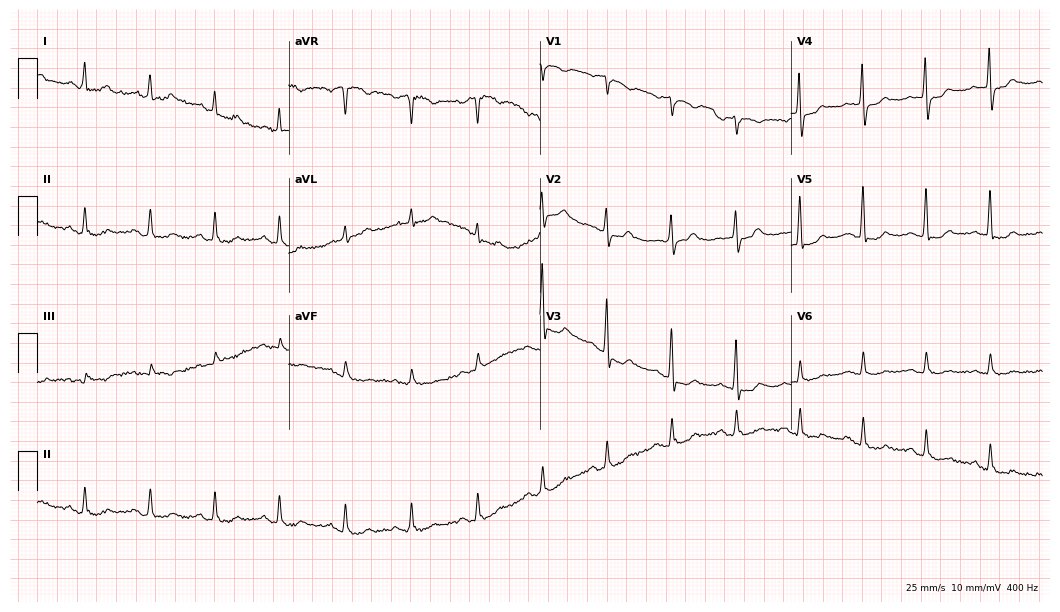
Electrocardiogram, a woman, 64 years old. Overall reading on record: normal ECG.